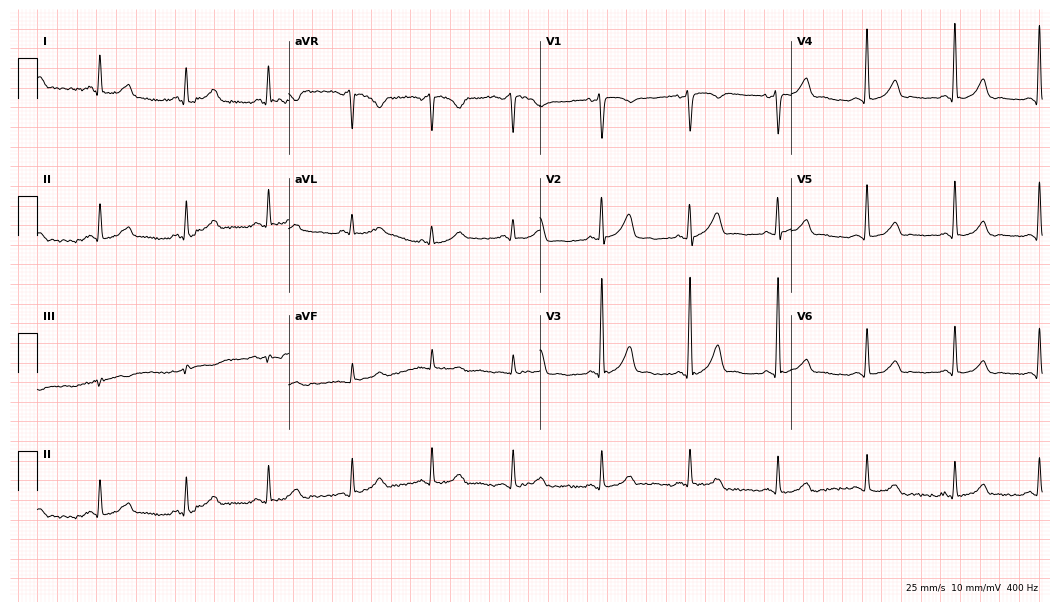
Resting 12-lead electrocardiogram. Patient: a male, 43 years old. Read as a normal ECG.